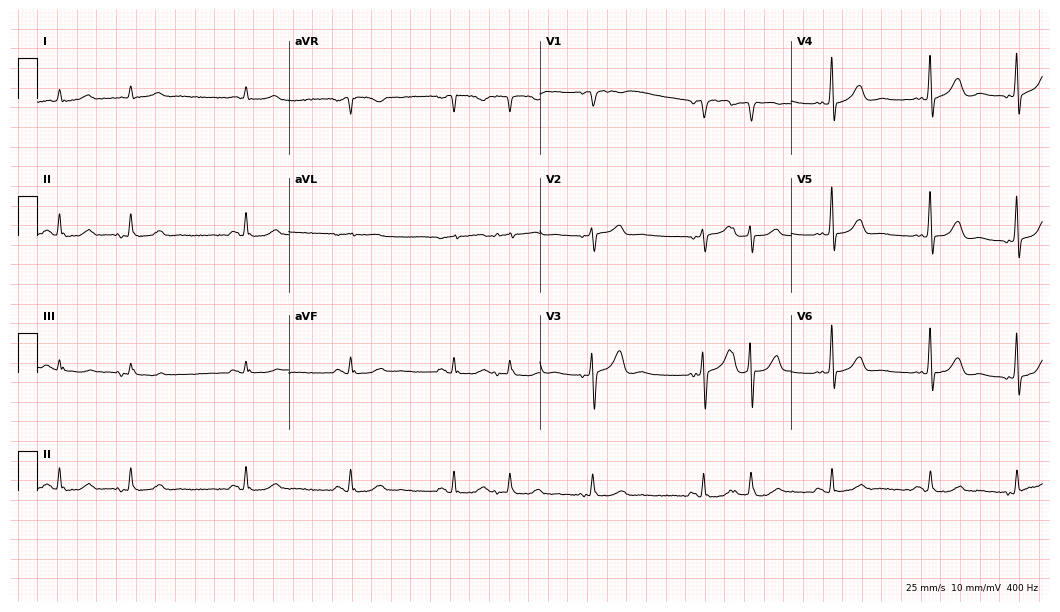
12-lead ECG from an 86-year-old male patient. No first-degree AV block, right bundle branch block, left bundle branch block, sinus bradycardia, atrial fibrillation or sinus tachycardia recorded for this tracing. Findings outside these six are not listed.